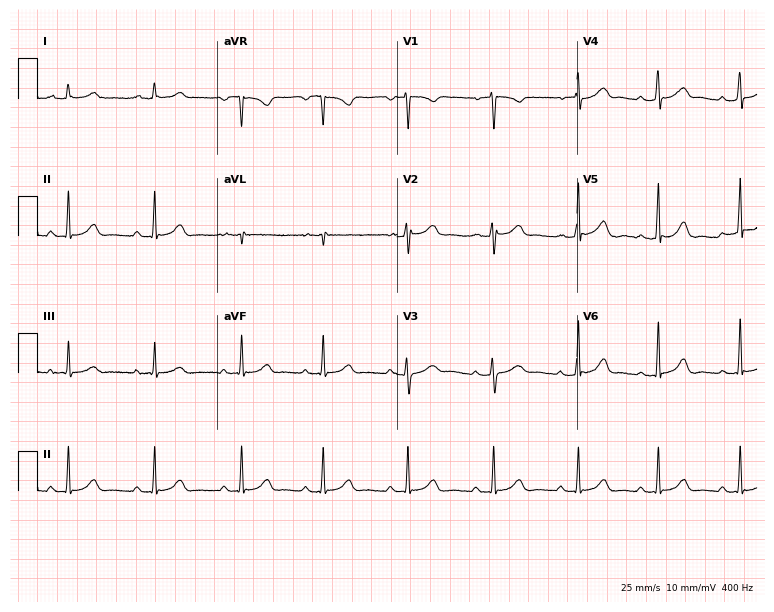
12-lead ECG from a woman, 27 years old. Recorded interpretation: within normal limits.